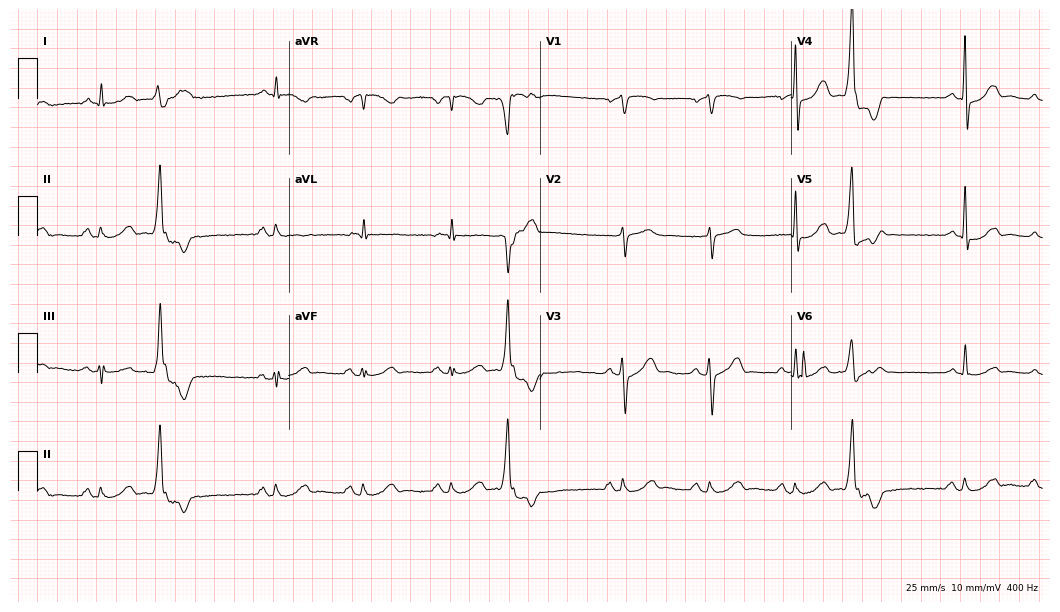
Resting 12-lead electrocardiogram. Patient: an 81-year-old man. None of these six findings is recorded: first-degree AV block, right bundle branch block (RBBB), left bundle branch block (LBBB), sinus bradycardia, atrial fibrillation (AF), sinus tachycardia. Other findings, if any, are not listed.